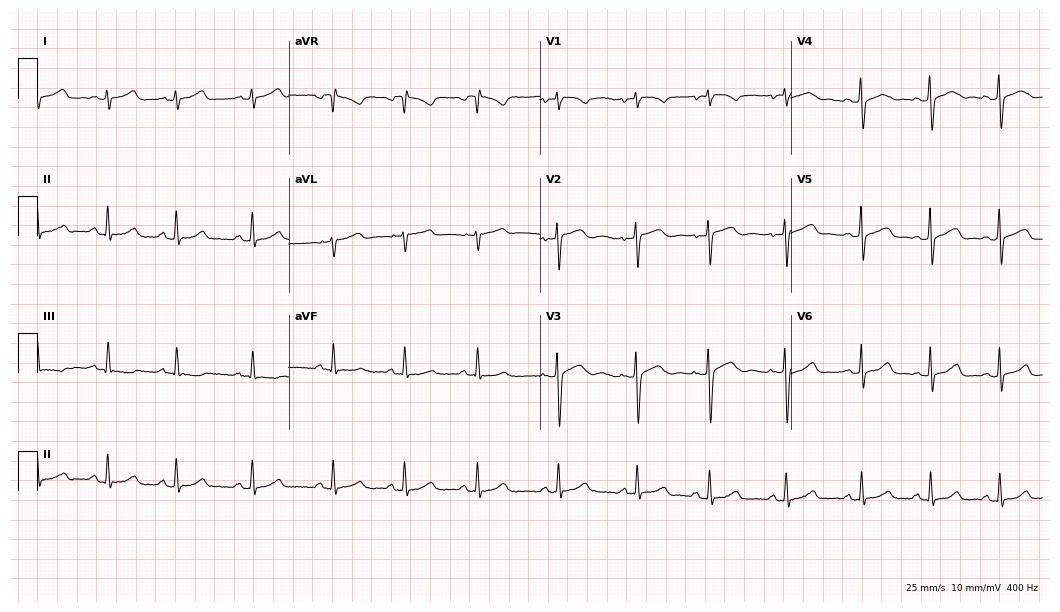
12-lead ECG from a woman, 18 years old. Recorded interpretation: within normal limits.